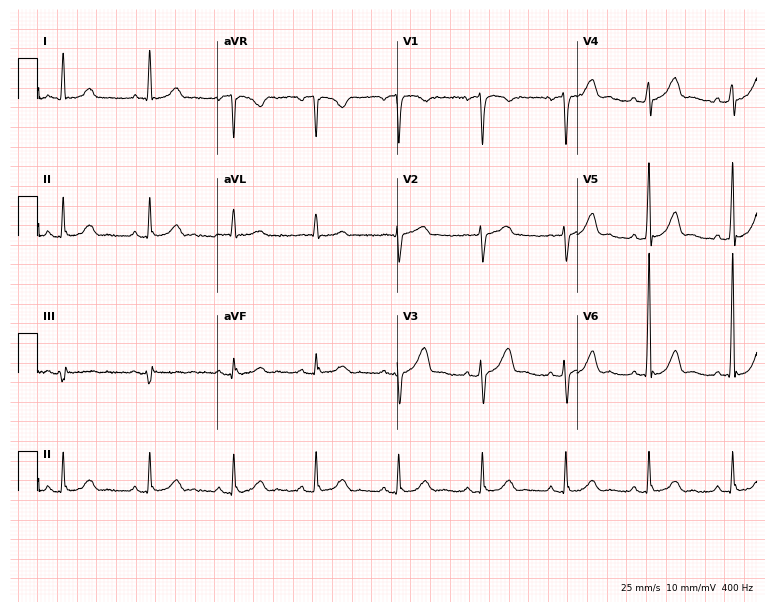
Electrocardiogram (7.3-second recording at 400 Hz), a male, 60 years old. Overall reading on record: normal ECG.